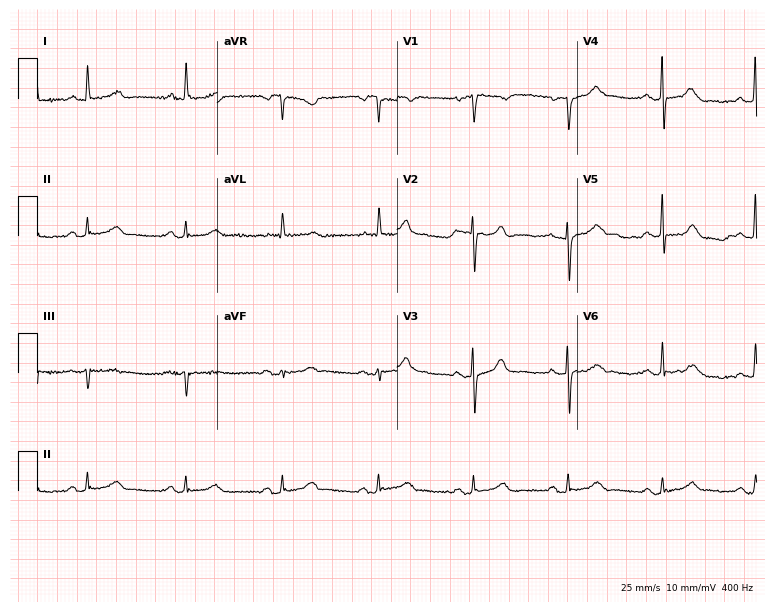
Standard 12-lead ECG recorded from a female, 81 years old (7.3-second recording at 400 Hz). Read as a normal ECG.